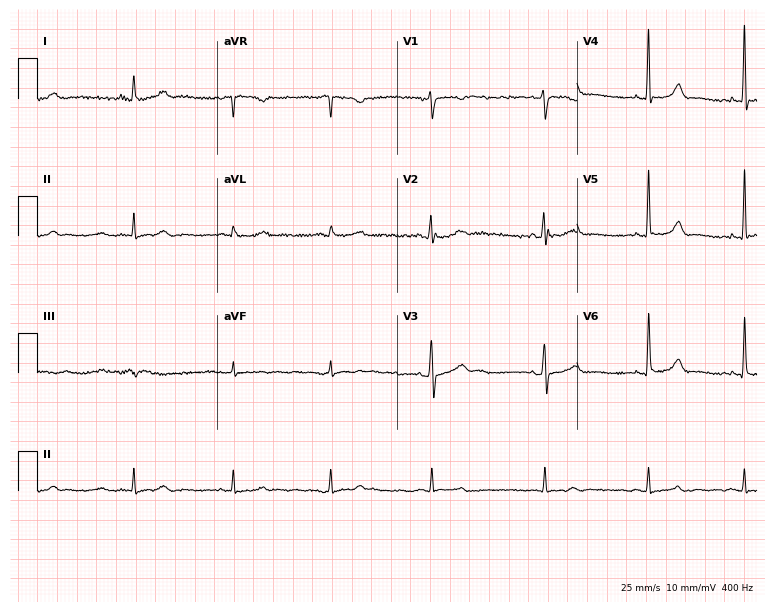
Standard 12-lead ECG recorded from a 21-year-old female patient (7.3-second recording at 400 Hz). Read as a normal ECG.